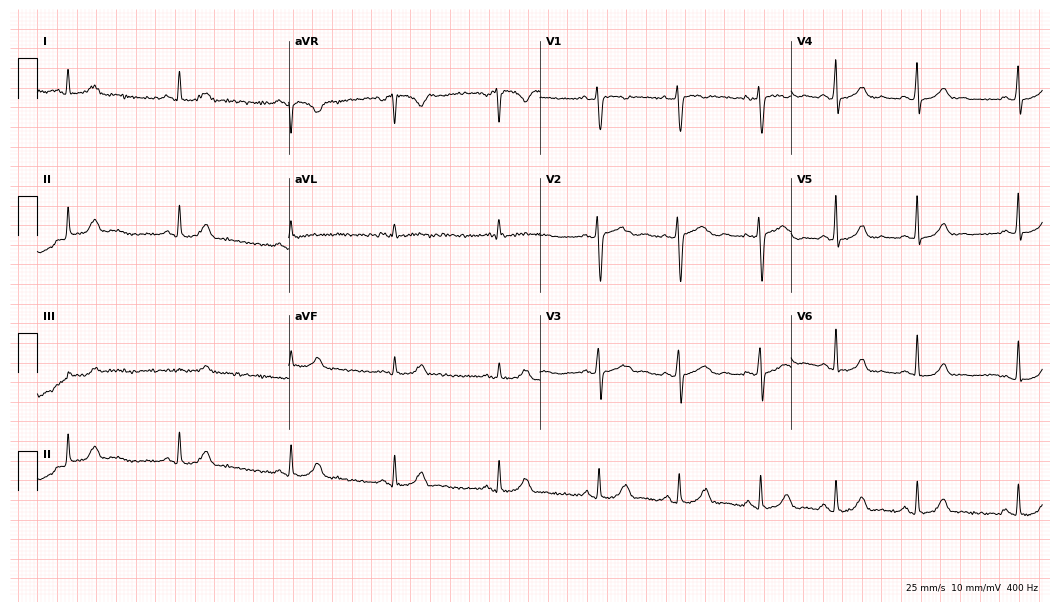
Resting 12-lead electrocardiogram. Patient: a 28-year-old female. None of these six findings is recorded: first-degree AV block, right bundle branch block, left bundle branch block, sinus bradycardia, atrial fibrillation, sinus tachycardia.